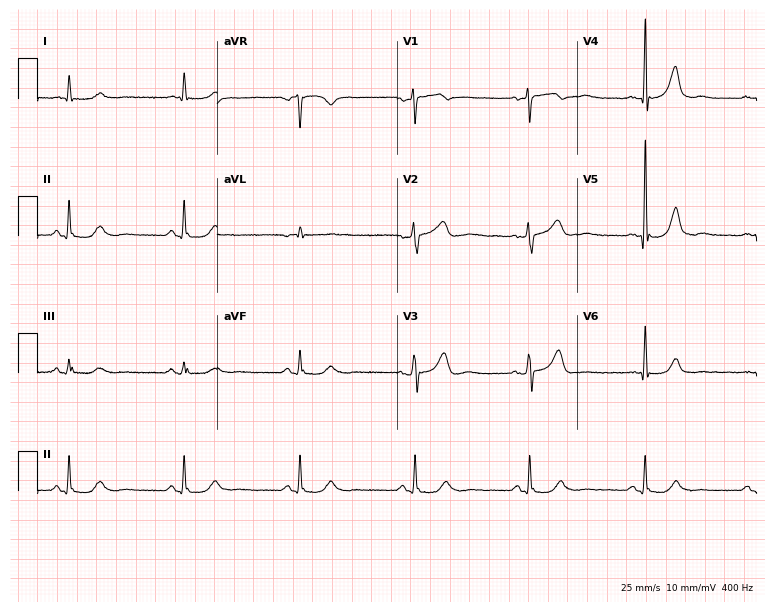
ECG (7.3-second recording at 400 Hz) — a man, 69 years old. Labelled as a normal ECG.